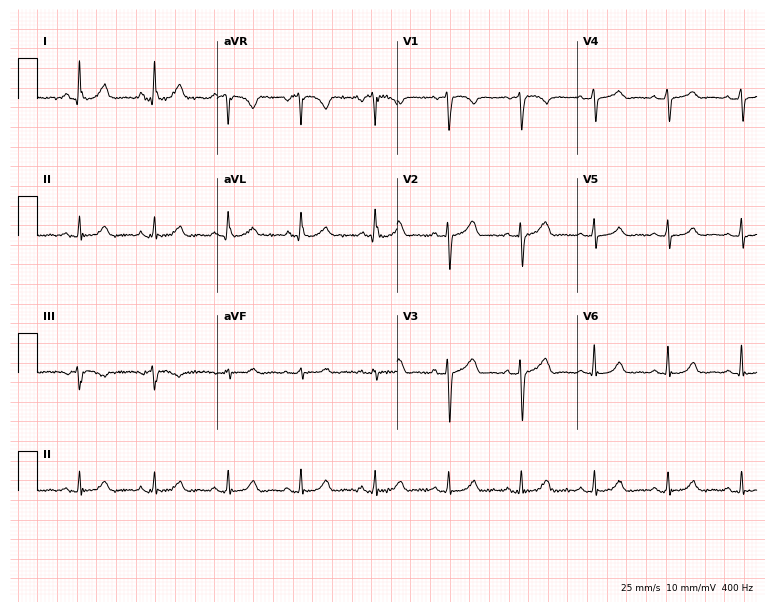
Resting 12-lead electrocardiogram. Patient: a 43-year-old female. Read as a normal ECG.